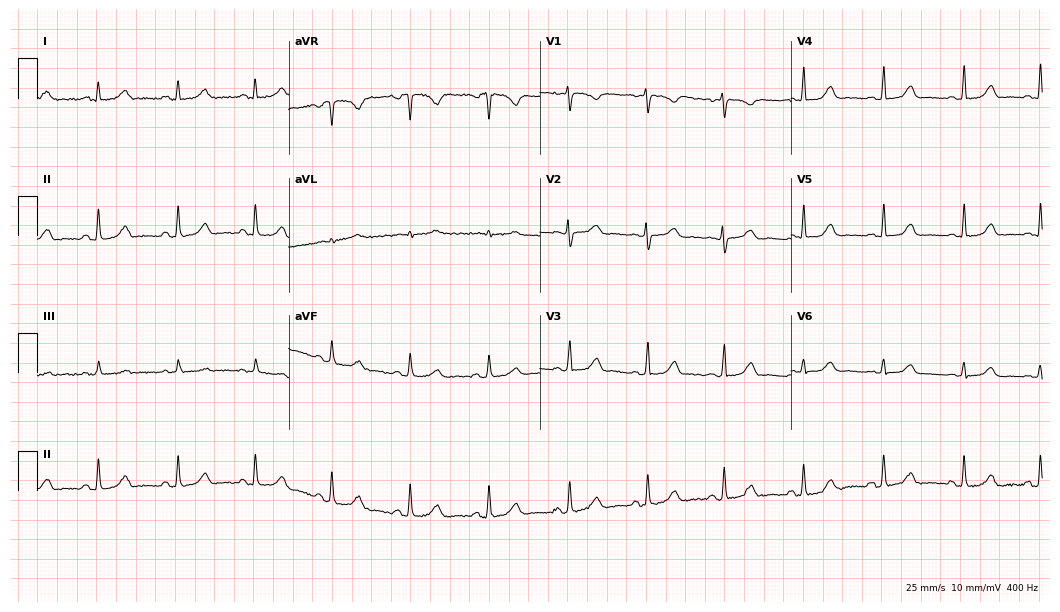
Resting 12-lead electrocardiogram. Patient: a female, 26 years old. Read as a normal ECG.